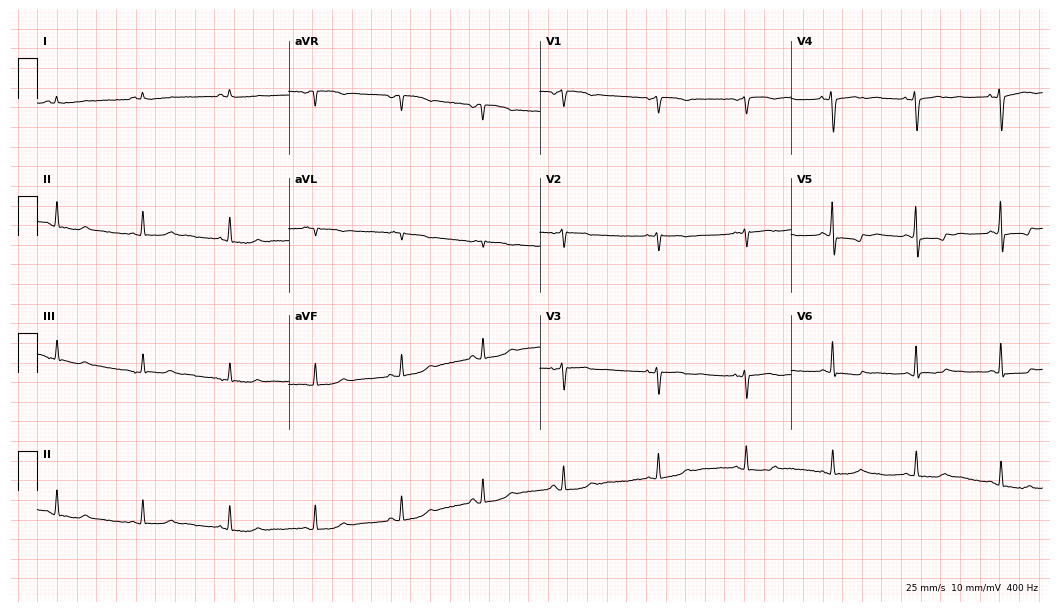
Resting 12-lead electrocardiogram (10.2-second recording at 400 Hz). Patient: a woman, 63 years old. None of these six findings is recorded: first-degree AV block, right bundle branch block, left bundle branch block, sinus bradycardia, atrial fibrillation, sinus tachycardia.